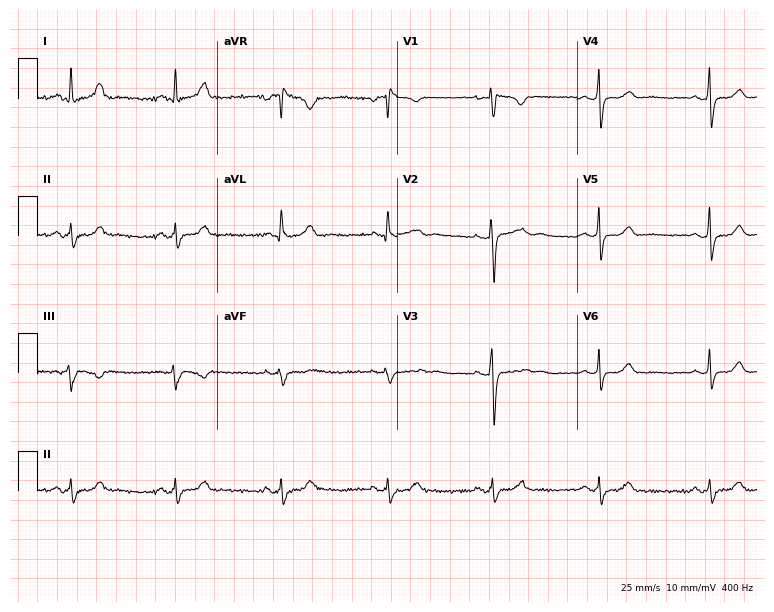
ECG (7.3-second recording at 400 Hz) — a female, 37 years old. Screened for six findings — first-degree AV block, right bundle branch block, left bundle branch block, sinus bradycardia, atrial fibrillation, sinus tachycardia — none is recorded.